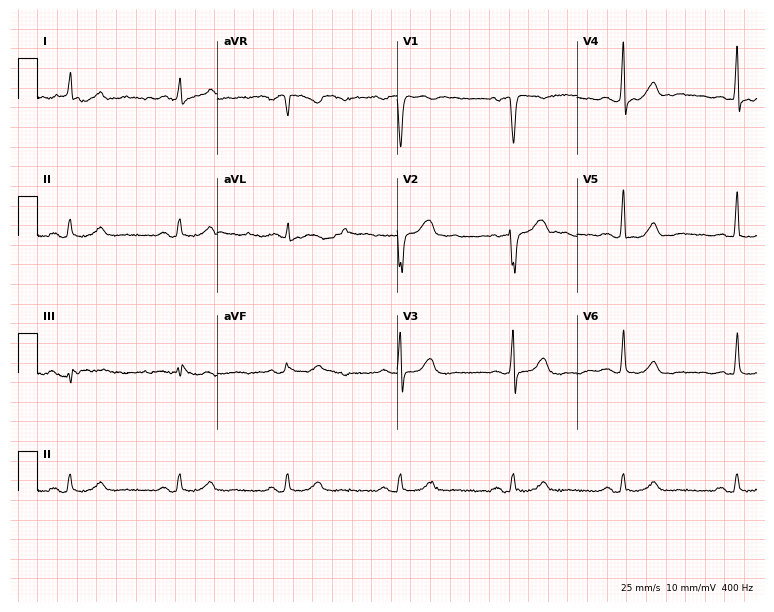
Electrocardiogram (7.3-second recording at 400 Hz), a man, 65 years old. Of the six screened findings (first-degree AV block, right bundle branch block, left bundle branch block, sinus bradycardia, atrial fibrillation, sinus tachycardia), none is recorded.